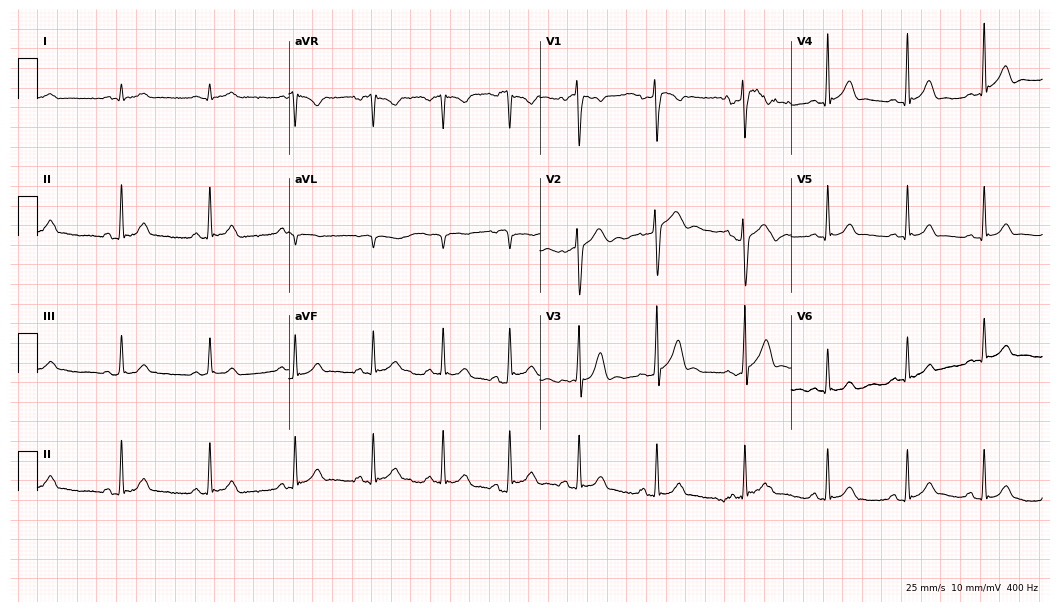
12-lead ECG from a man, 26 years old. No first-degree AV block, right bundle branch block (RBBB), left bundle branch block (LBBB), sinus bradycardia, atrial fibrillation (AF) or sinus tachycardia recorded for this tracing.